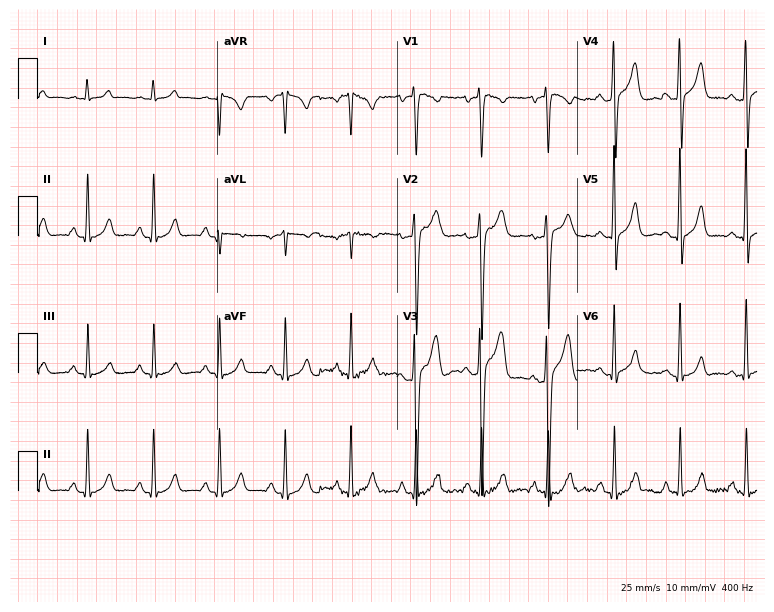
ECG (7.3-second recording at 400 Hz) — a male patient, 23 years old. Labelled as a normal ECG.